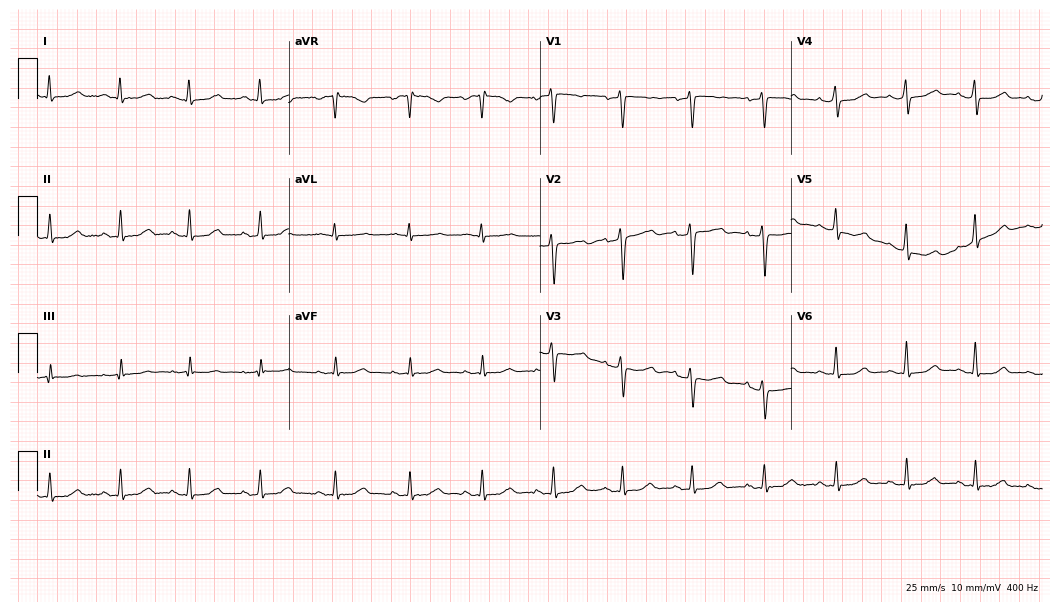
Electrocardiogram, a female, 54 years old. Overall reading on record: normal ECG.